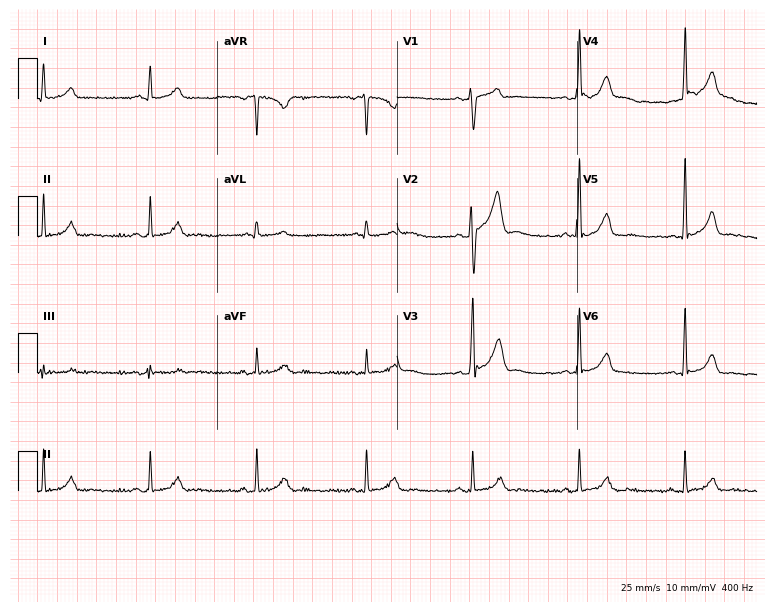
Electrocardiogram, a 33-year-old male. Overall reading on record: normal ECG.